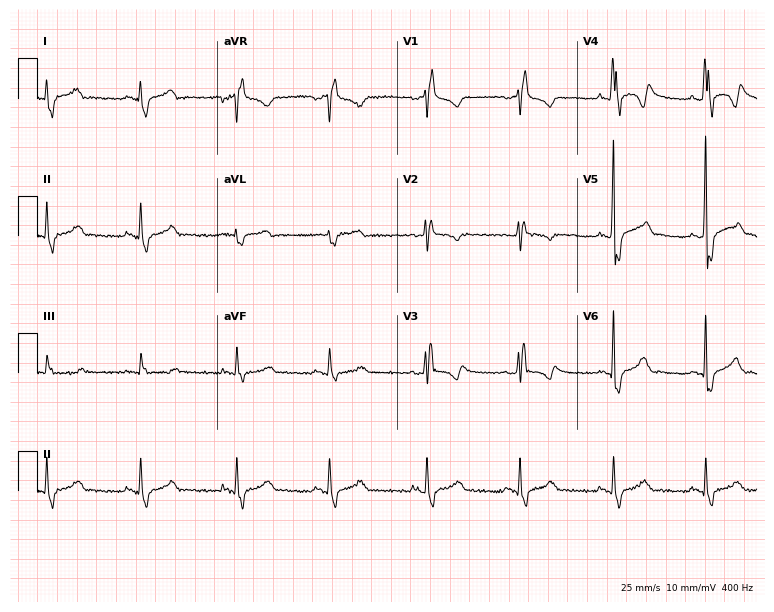
Resting 12-lead electrocardiogram. Patient: a 34-year-old man. The tracing shows right bundle branch block.